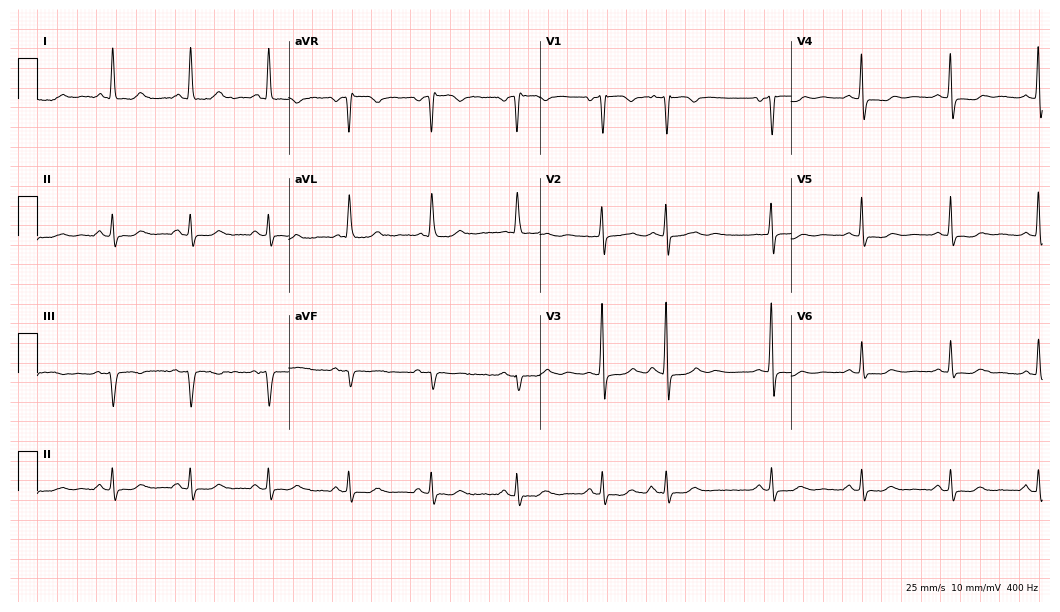
Resting 12-lead electrocardiogram. Patient: a 72-year-old female. None of these six findings is recorded: first-degree AV block, right bundle branch block, left bundle branch block, sinus bradycardia, atrial fibrillation, sinus tachycardia.